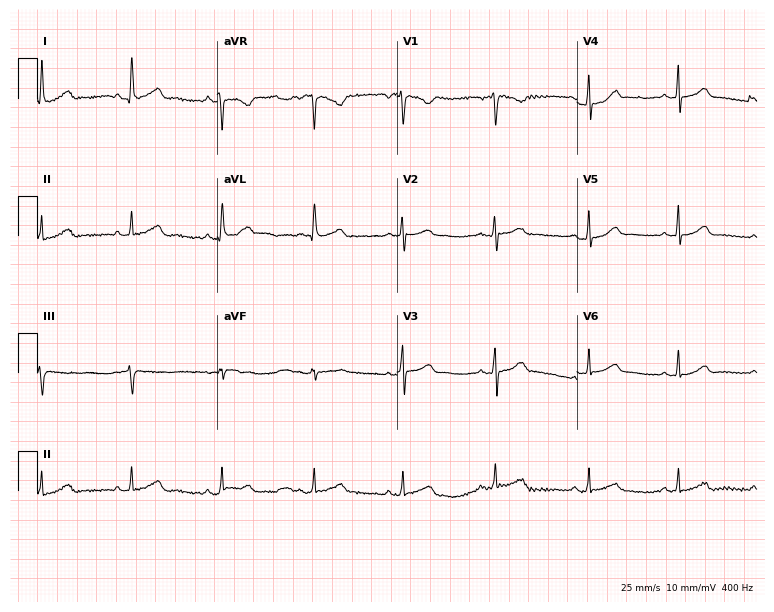
12-lead ECG from a 34-year-old female (7.3-second recording at 400 Hz). Recorded interpretation: within normal limits.